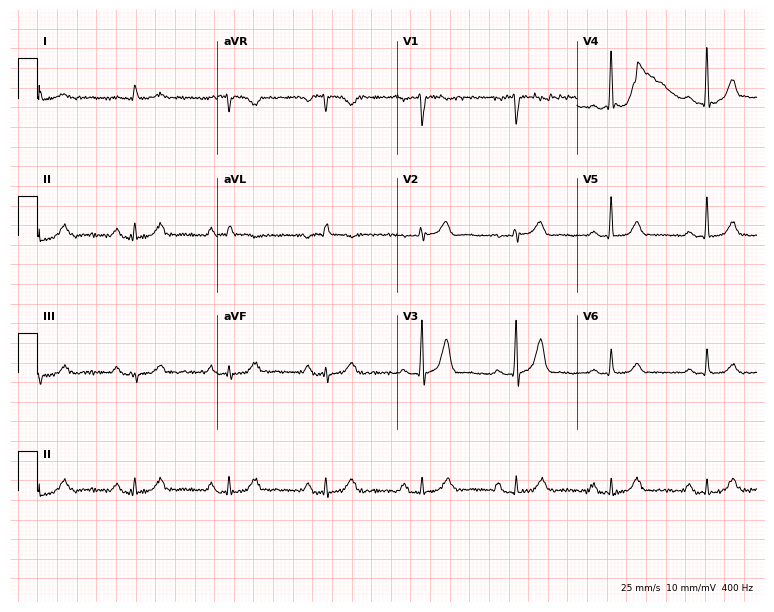
12-lead ECG from a 75-year-old male. Recorded interpretation: within normal limits.